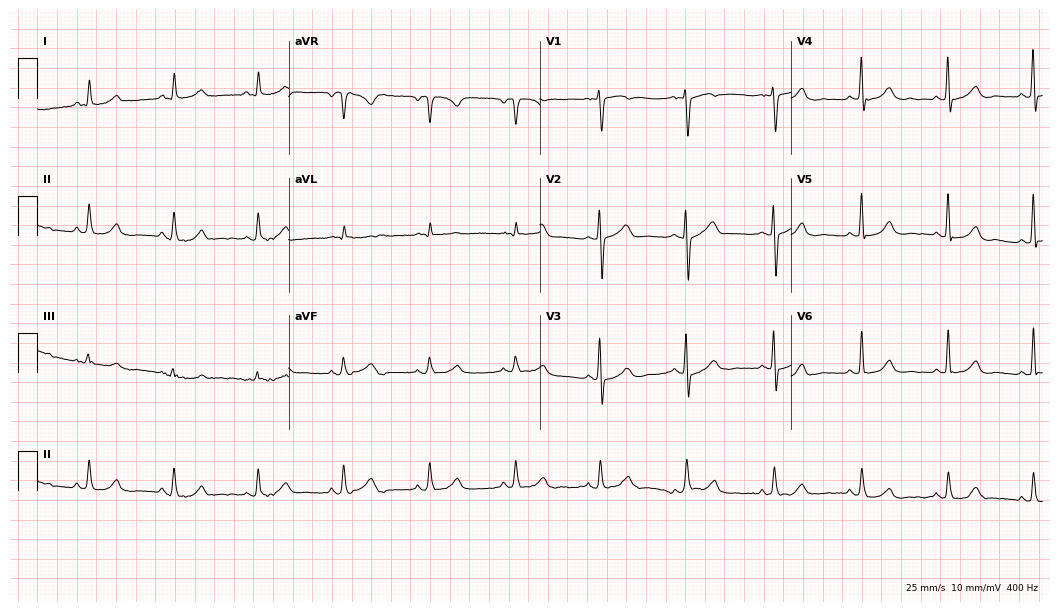
ECG — a female patient, 72 years old. Labelled as a normal ECG.